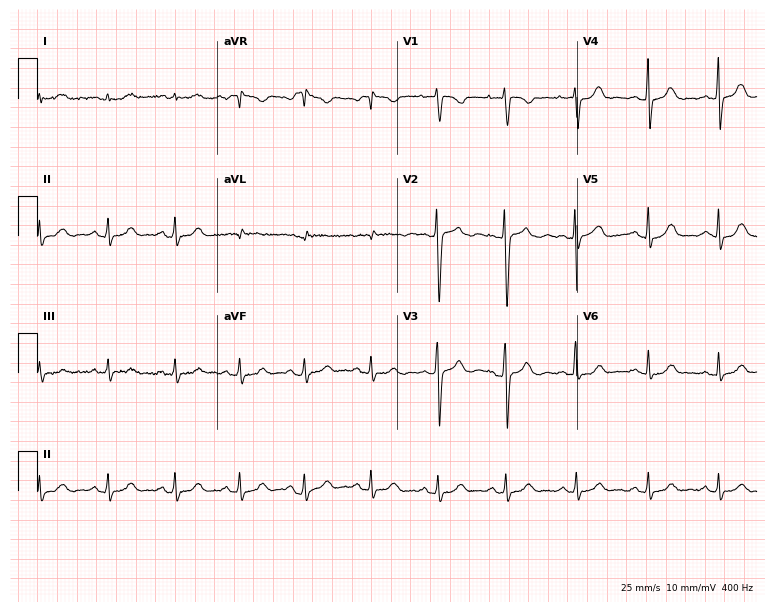
Electrocardiogram (7.3-second recording at 400 Hz), a female, 20 years old. Overall reading on record: normal ECG.